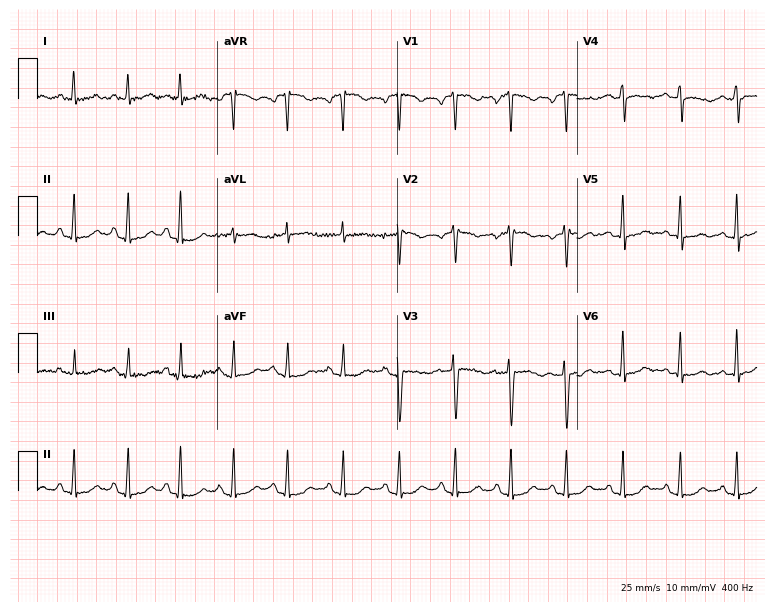
Electrocardiogram, a female patient, 34 years old. Interpretation includes sinus tachycardia (a sinus rate of 100 beats per minute or more).